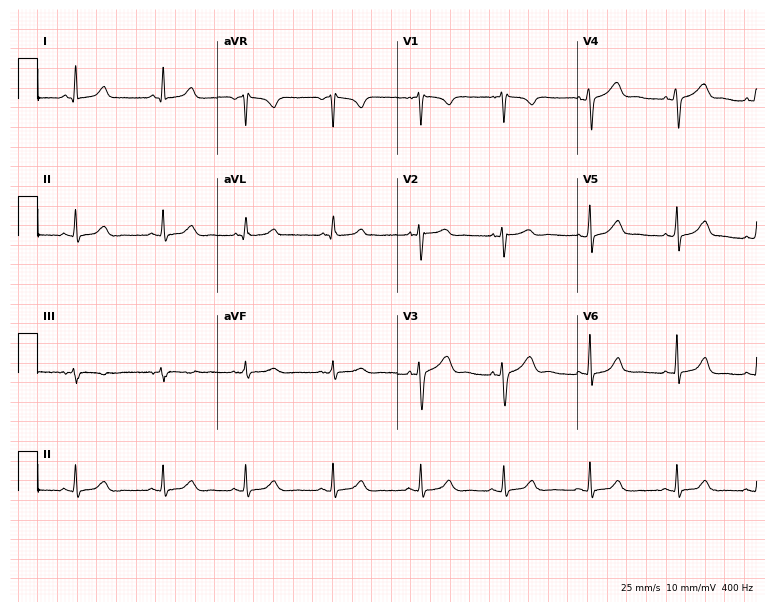
Electrocardiogram (7.3-second recording at 400 Hz), a female patient, 37 years old. Of the six screened findings (first-degree AV block, right bundle branch block, left bundle branch block, sinus bradycardia, atrial fibrillation, sinus tachycardia), none is recorded.